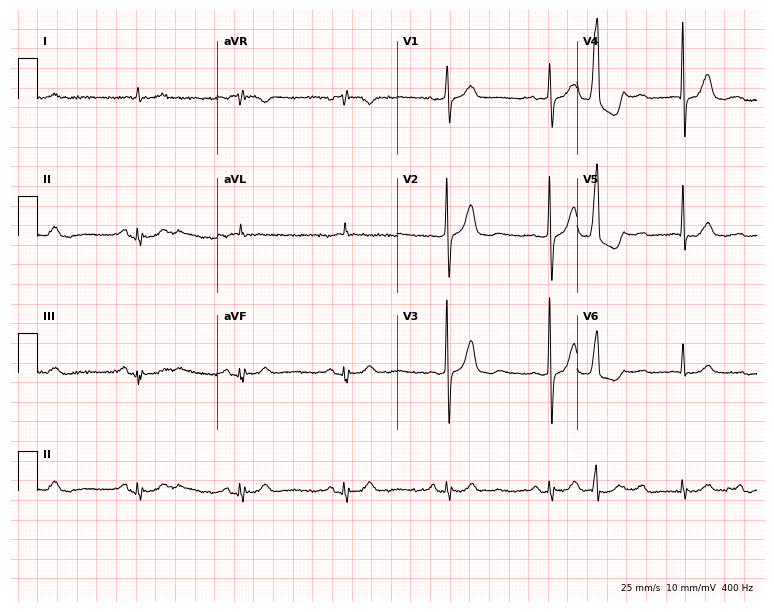
Standard 12-lead ECG recorded from a 79-year-old female patient. Read as a normal ECG.